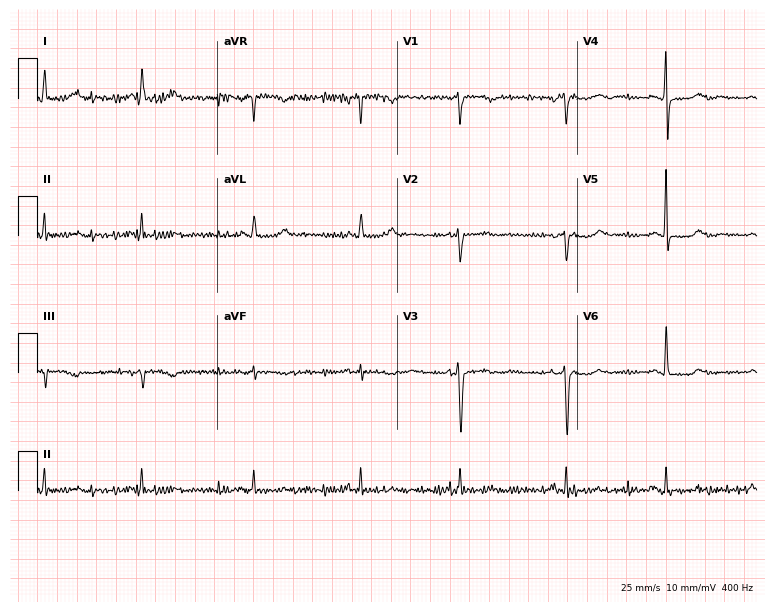
12-lead ECG (7.3-second recording at 400 Hz) from a 58-year-old female. Labelled as a normal ECG.